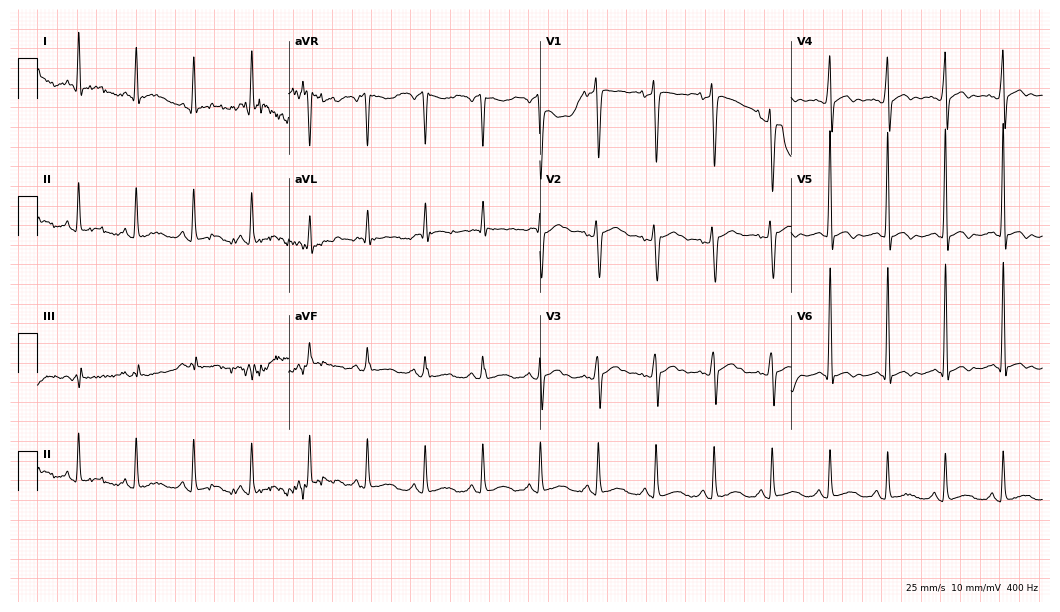
Resting 12-lead electrocardiogram. Patient: a woman, 44 years old. None of these six findings is recorded: first-degree AV block, right bundle branch block (RBBB), left bundle branch block (LBBB), sinus bradycardia, atrial fibrillation (AF), sinus tachycardia. Other findings, if any, are not listed.